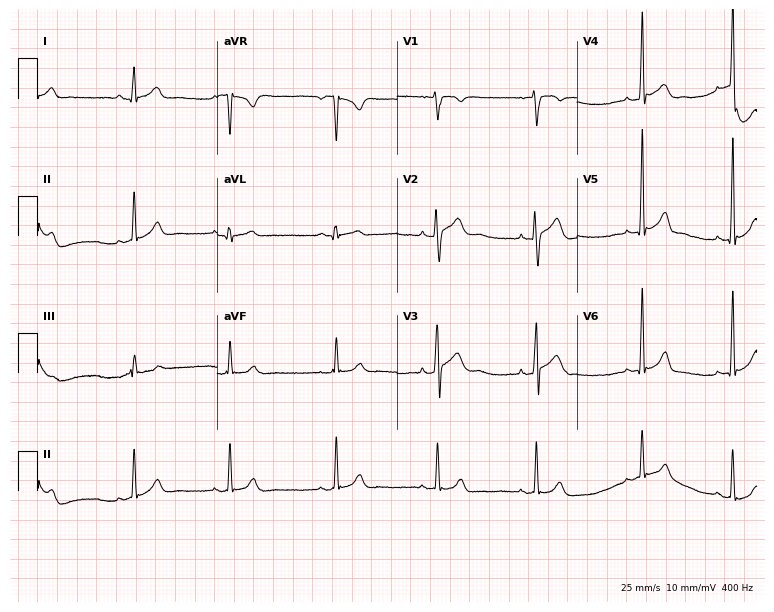
Resting 12-lead electrocardiogram (7.3-second recording at 400 Hz). Patient: a 22-year-old male. None of these six findings is recorded: first-degree AV block, right bundle branch block, left bundle branch block, sinus bradycardia, atrial fibrillation, sinus tachycardia.